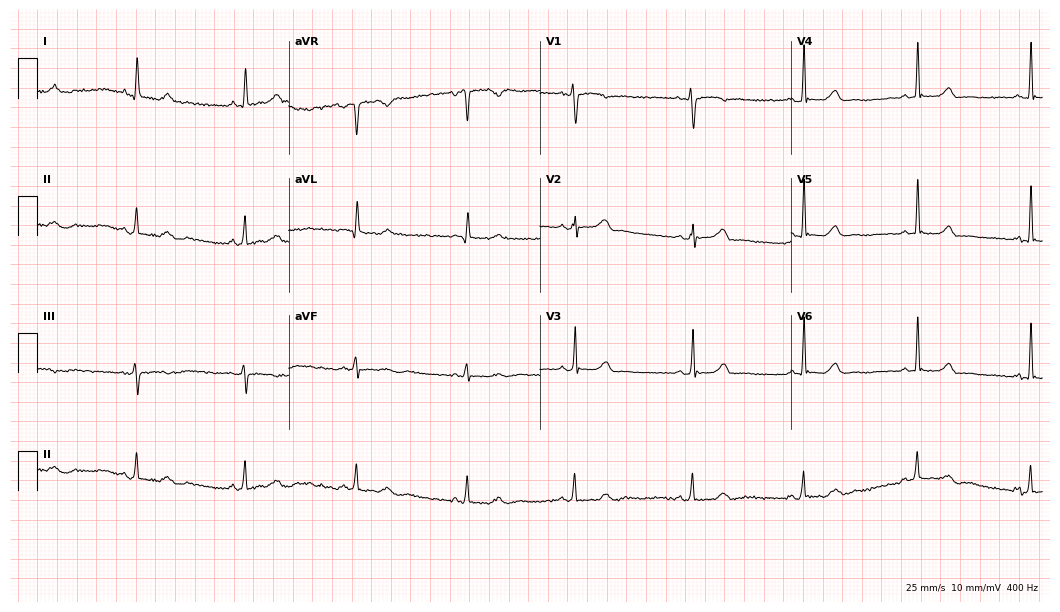
Standard 12-lead ECG recorded from a 45-year-old female (10.2-second recording at 400 Hz). Read as a normal ECG.